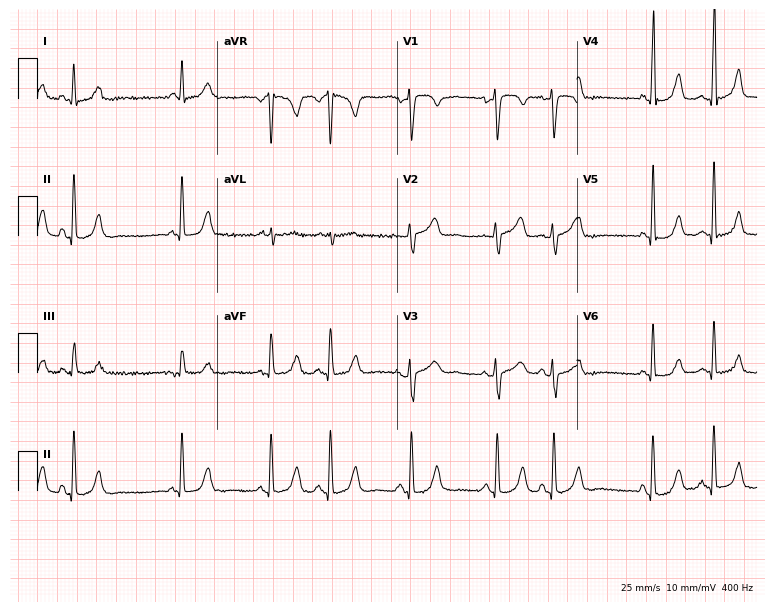
Standard 12-lead ECG recorded from a female patient, 57 years old (7.3-second recording at 400 Hz). None of these six findings is recorded: first-degree AV block, right bundle branch block (RBBB), left bundle branch block (LBBB), sinus bradycardia, atrial fibrillation (AF), sinus tachycardia.